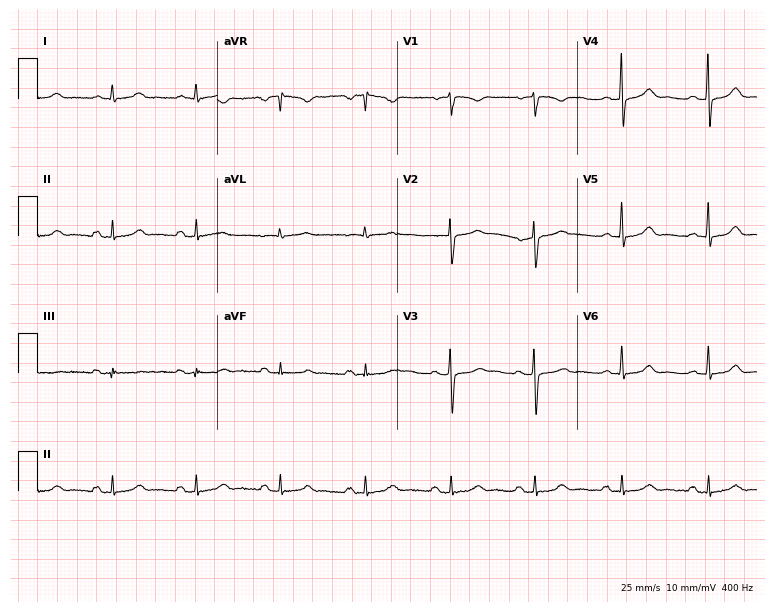
Standard 12-lead ECG recorded from a woman, 52 years old. Read as a normal ECG.